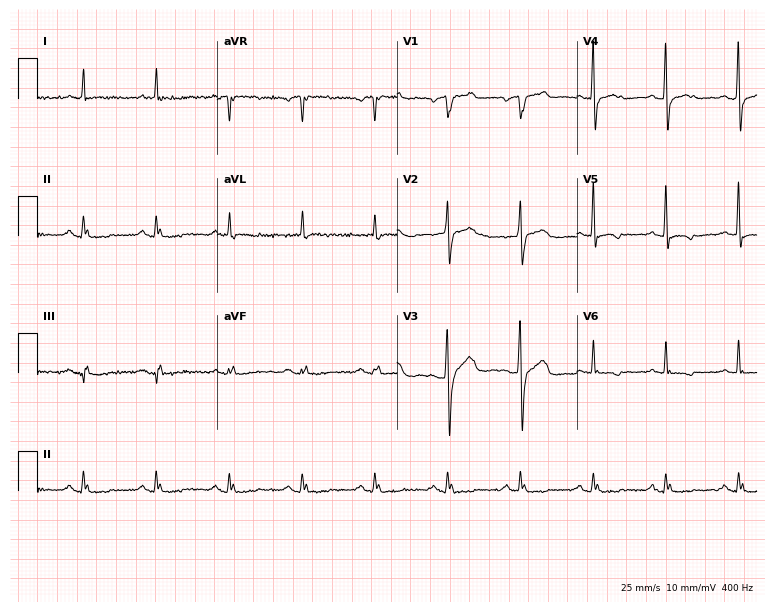
12-lead ECG from a 73-year-old female. Screened for six findings — first-degree AV block, right bundle branch block, left bundle branch block, sinus bradycardia, atrial fibrillation, sinus tachycardia — none is recorded. Findings outside these six are not listed.